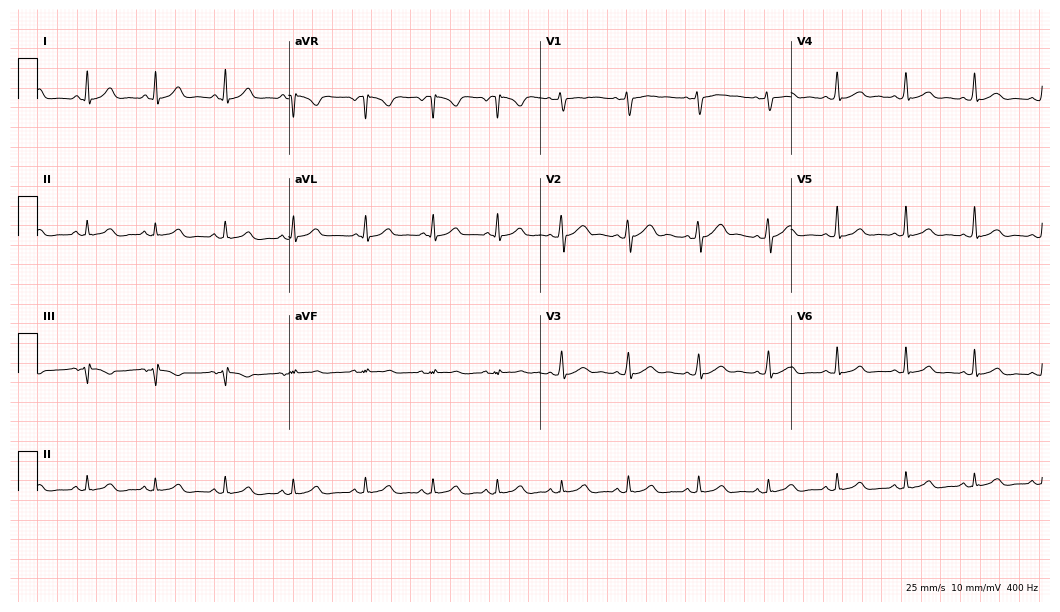
12-lead ECG from a 39-year-old male (10.2-second recording at 400 Hz). Recorded interpretation: within normal limits.